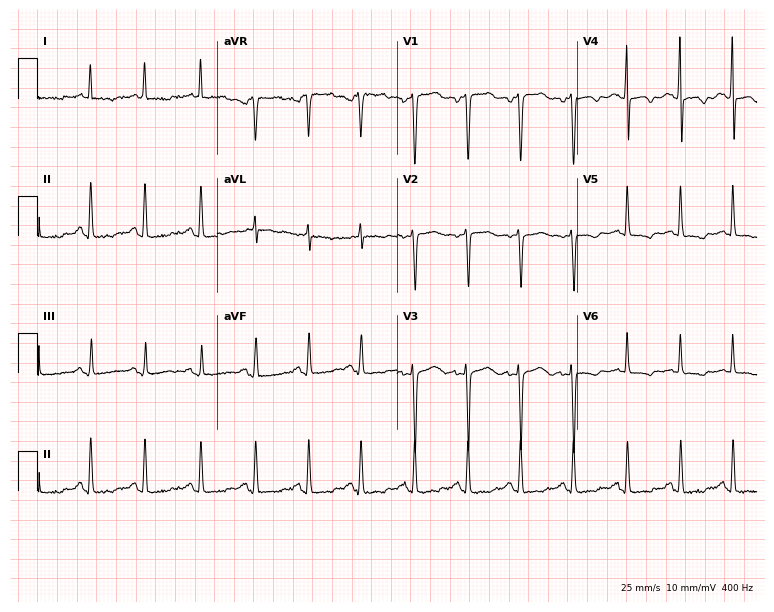
ECG (7.3-second recording at 400 Hz) — a 42-year-old female. Findings include sinus tachycardia (a sinus rate of 100 beats per minute or more).